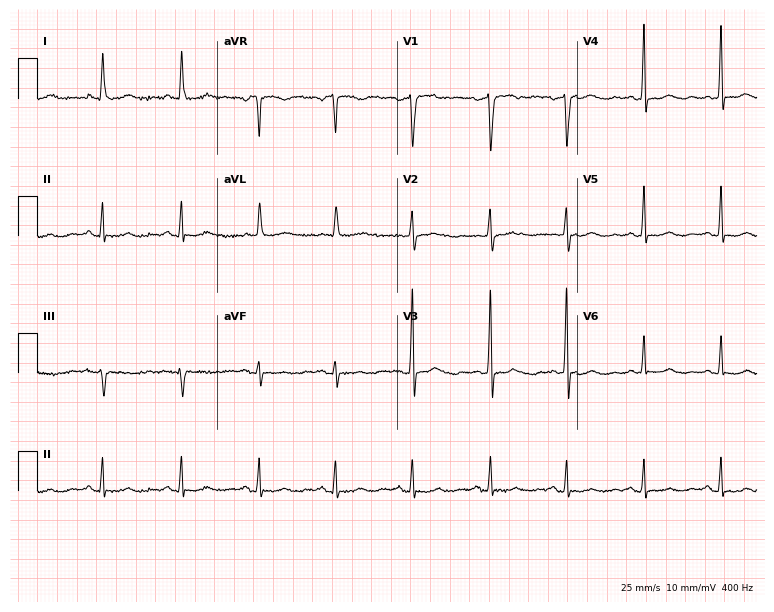
Standard 12-lead ECG recorded from a 58-year-old female. Read as a normal ECG.